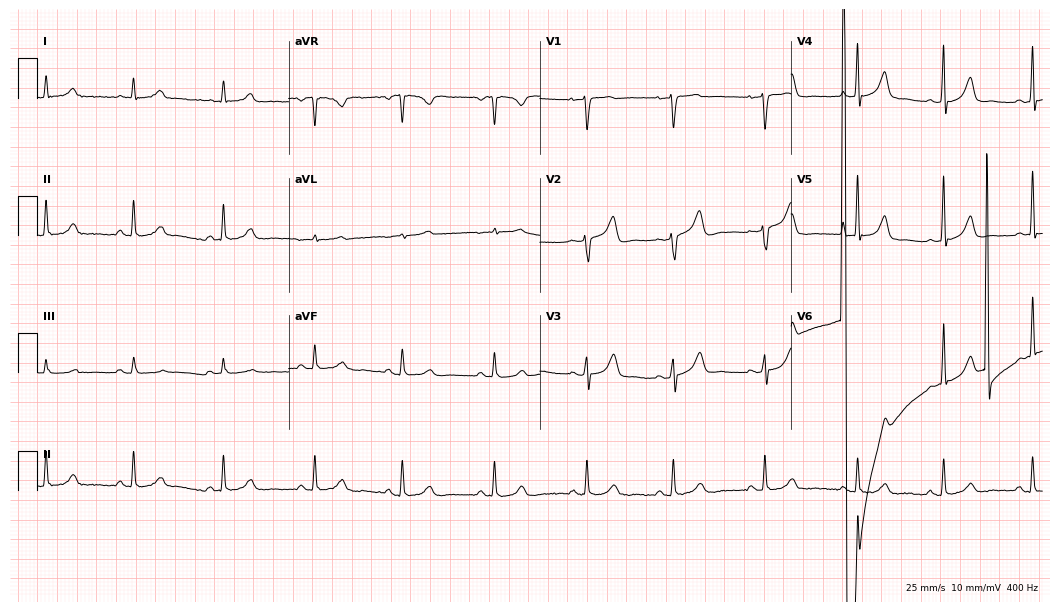
12-lead ECG (10.2-second recording at 400 Hz) from a 52-year-old female patient. Labelled as a normal ECG.